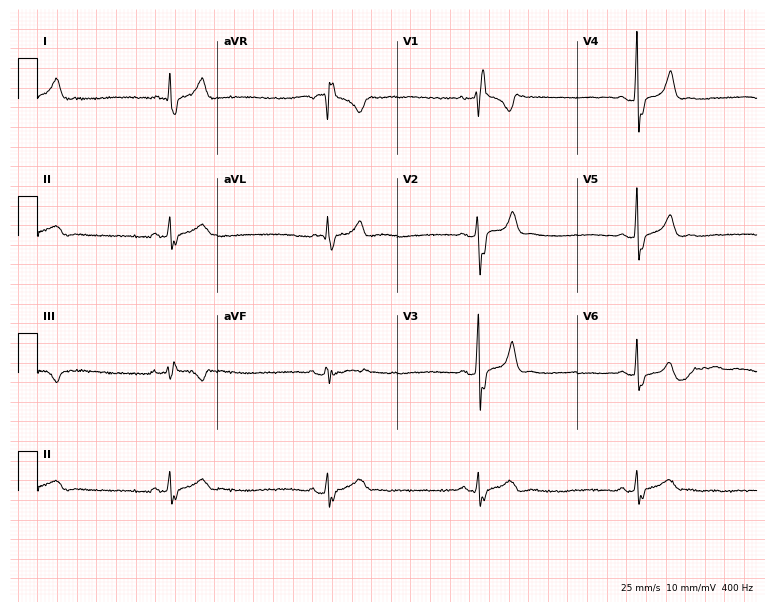
Resting 12-lead electrocardiogram. Patient: a male, 37 years old. The tracing shows right bundle branch block, sinus bradycardia (a sinus rate of 50 beats per minute or less).